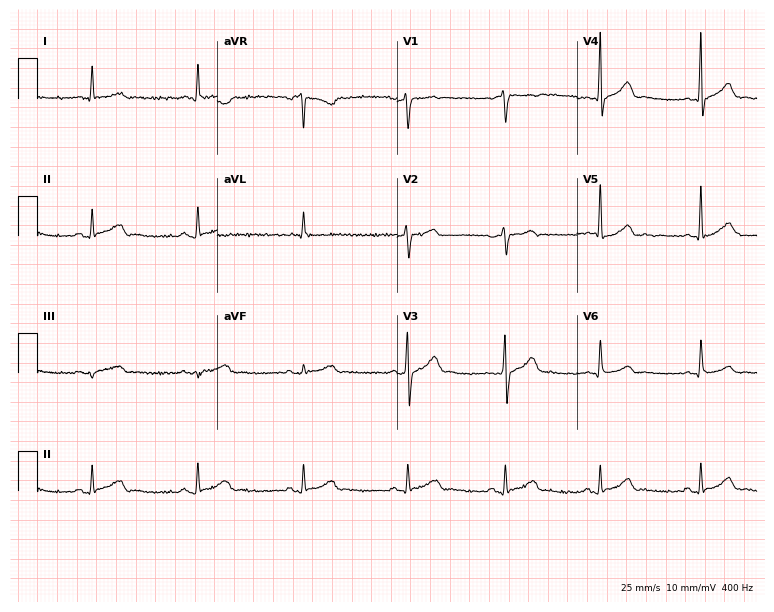
12-lead ECG (7.3-second recording at 400 Hz) from a male patient, 26 years old. Labelled as a normal ECG.